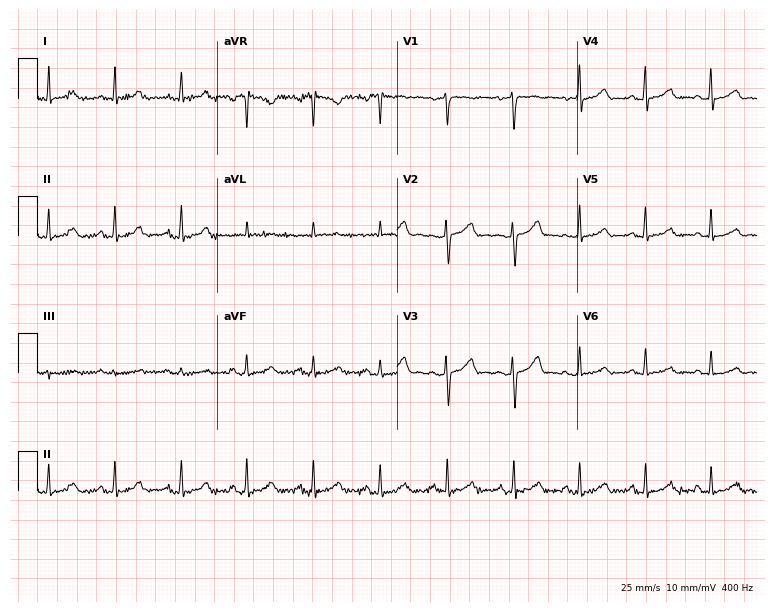
Resting 12-lead electrocardiogram. Patient: a woman, 54 years old. Read as a normal ECG.